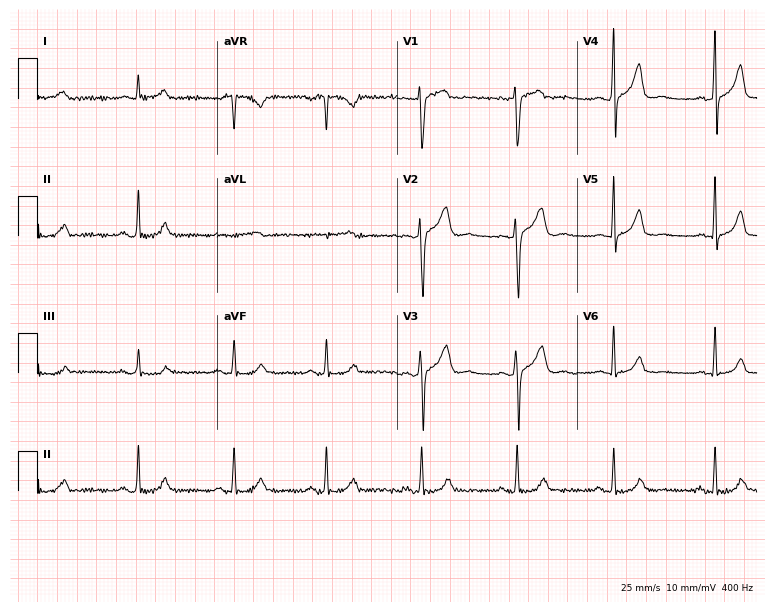
Resting 12-lead electrocardiogram (7.3-second recording at 400 Hz). Patient: a 52-year-old male. None of these six findings is recorded: first-degree AV block, right bundle branch block (RBBB), left bundle branch block (LBBB), sinus bradycardia, atrial fibrillation (AF), sinus tachycardia.